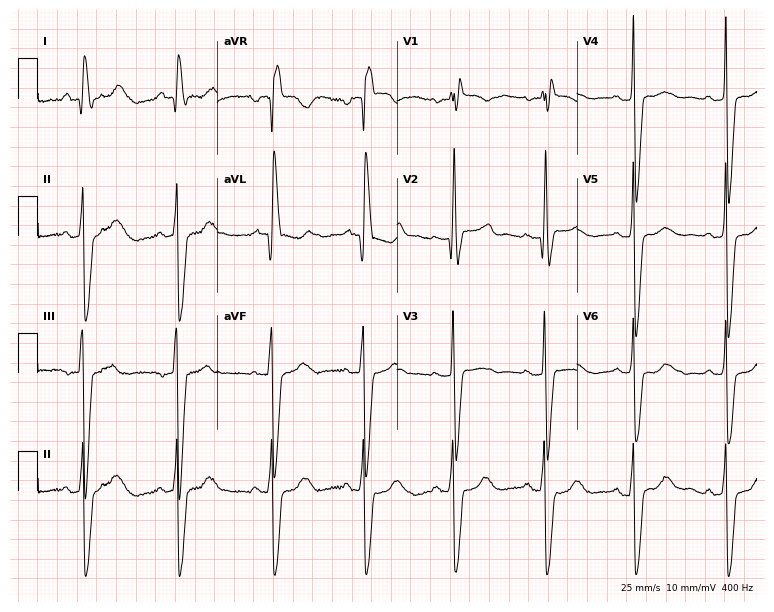
12-lead ECG from a 67-year-old female. Findings include right bundle branch block.